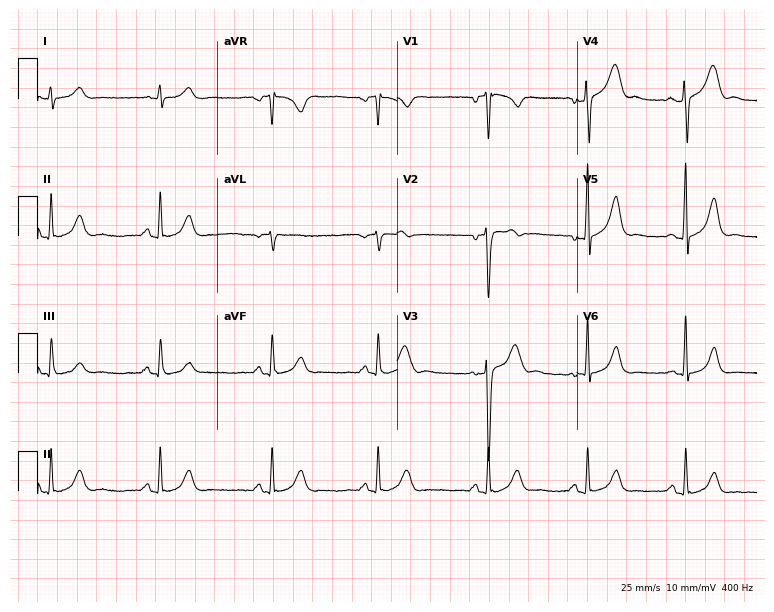
12-lead ECG from a 23-year-old man. Recorded interpretation: within normal limits.